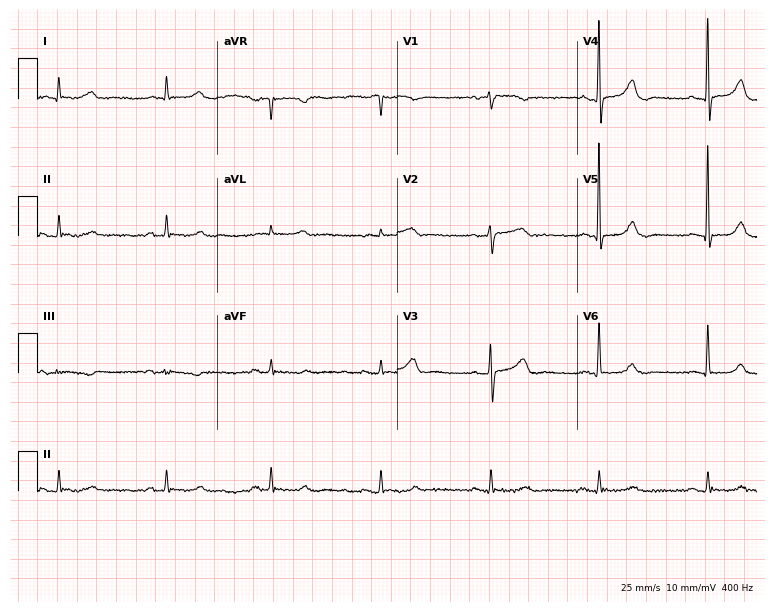
ECG (7.3-second recording at 400 Hz) — a female patient, 76 years old. Screened for six findings — first-degree AV block, right bundle branch block, left bundle branch block, sinus bradycardia, atrial fibrillation, sinus tachycardia — none is recorded. Only these six findings were labelled.